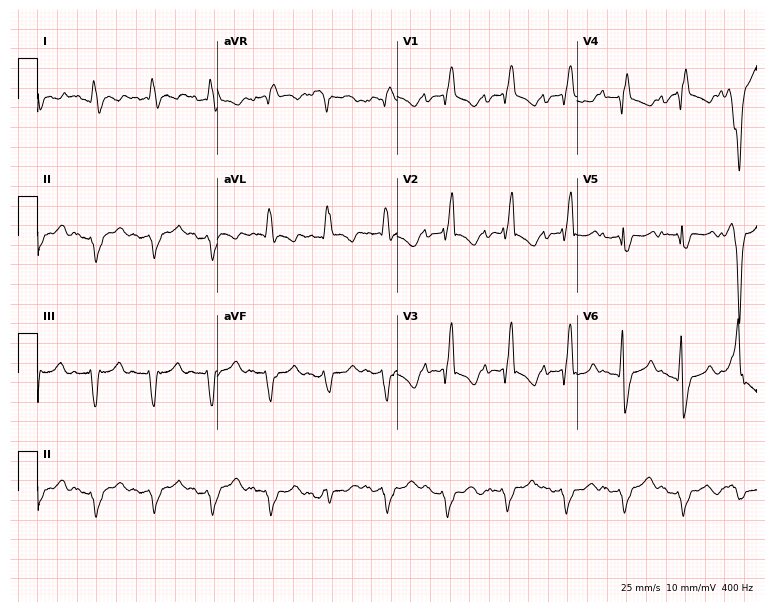
Electrocardiogram, a male patient, 50 years old. Interpretation includes right bundle branch block (RBBB).